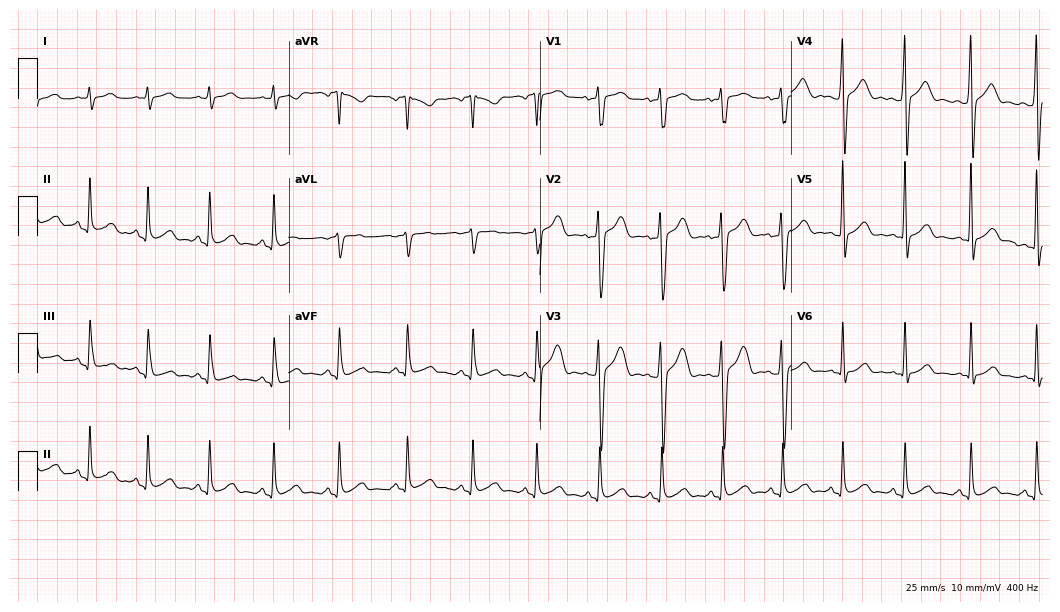
12-lead ECG (10.2-second recording at 400 Hz) from a 17-year-old male. Labelled as a normal ECG.